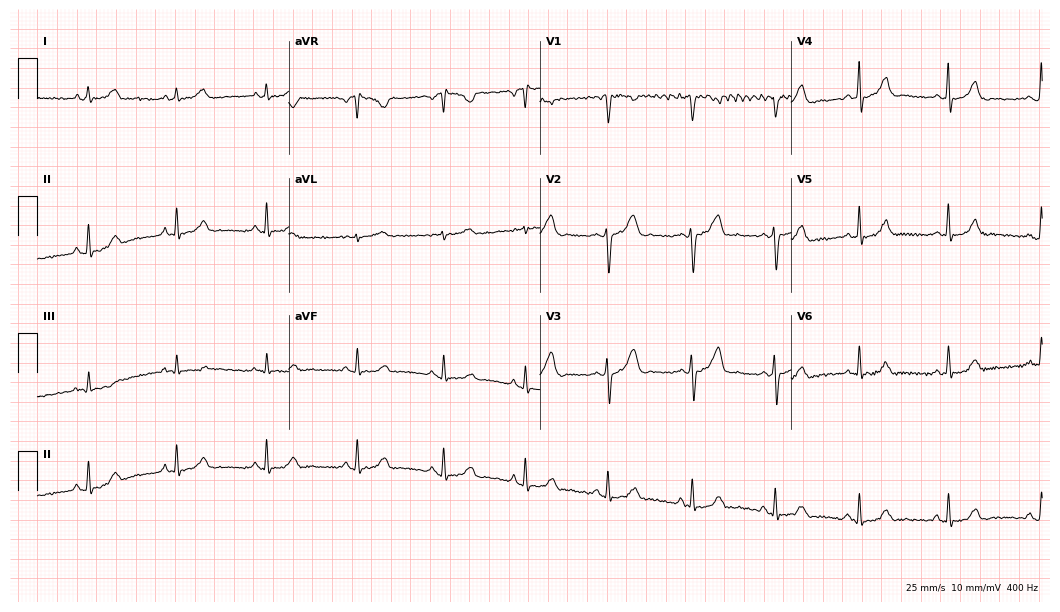
12-lead ECG (10.2-second recording at 400 Hz) from a 35-year-old female patient. Labelled as a normal ECG.